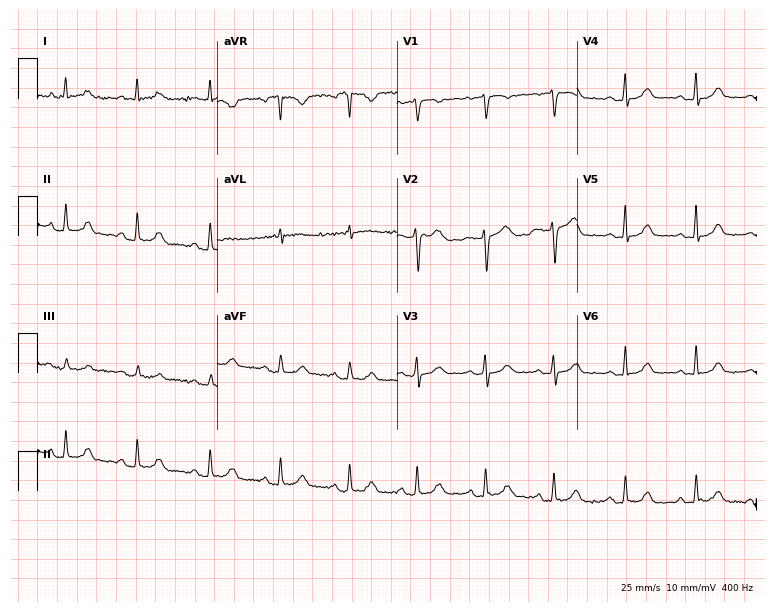
Electrocardiogram, a woman, 63 years old. Of the six screened findings (first-degree AV block, right bundle branch block (RBBB), left bundle branch block (LBBB), sinus bradycardia, atrial fibrillation (AF), sinus tachycardia), none is recorded.